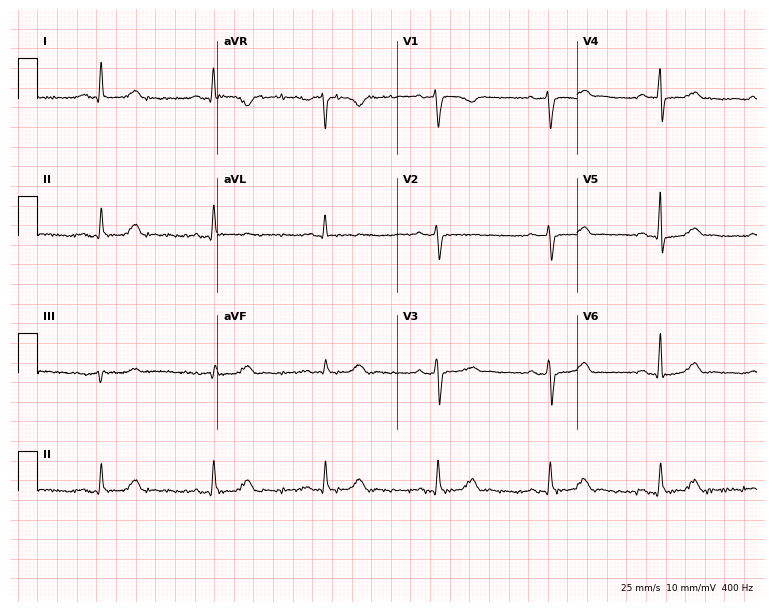
Resting 12-lead electrocardiogram (7.3-second recording at 400 Hz). Patient: a man, 72 years old. None of these six findings is recorded: first-degree AV block, right bundle branch block, left bundle branch block, sinus bradycardia, atrial fibrillation, sinus tachycardia. Findings outside these six are not listed.